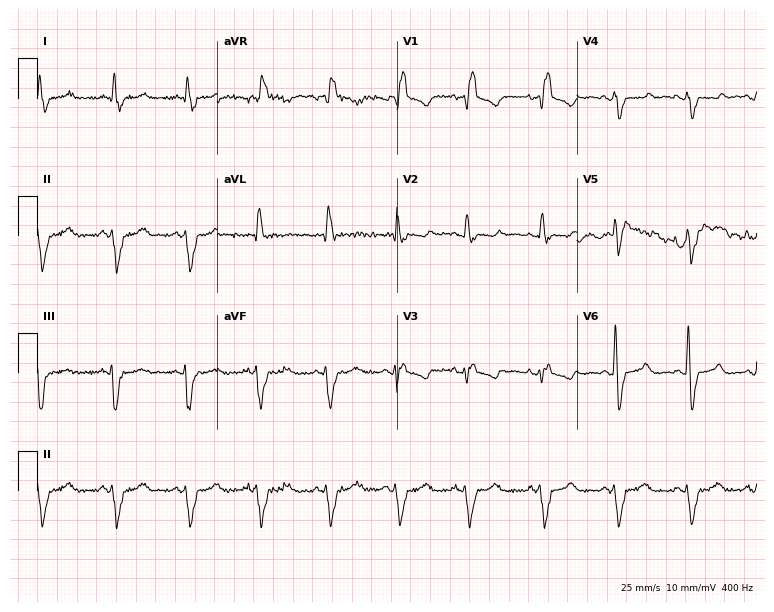
ECG (7.3-second recording at 400 Hz) — a 75-year-old woman. Findings include right bundle branch block.